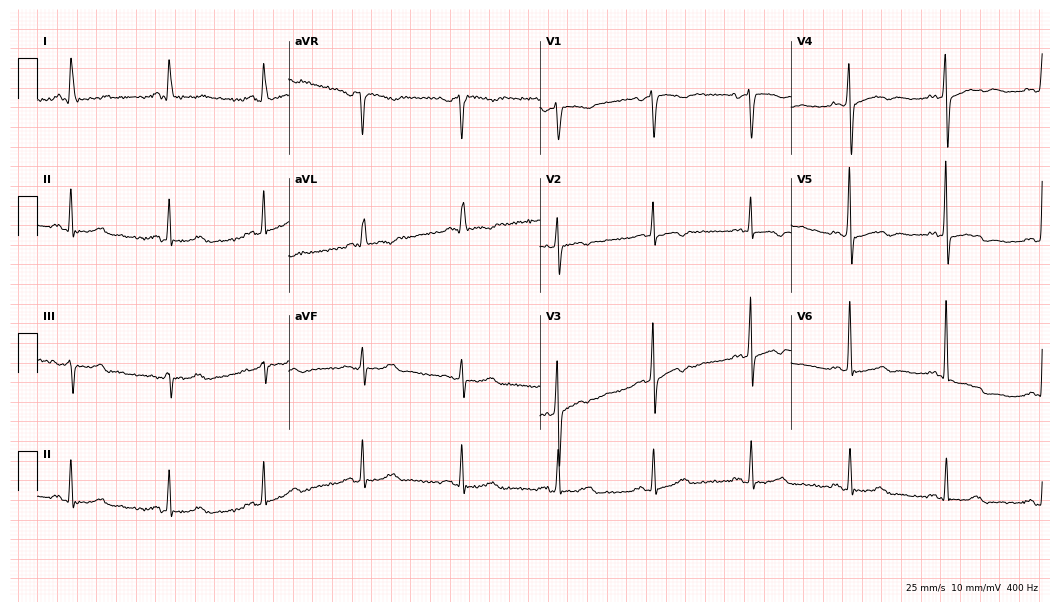
Electrocardiogram, an 83-year-old woman. Of the six screened findings (first-degree AV block, right bundle branch block, left bundle branch block, sinus bradycardia, atrial fibrillation, sinus tachycardia), none is recorded. Other findings, if any, are not listed.